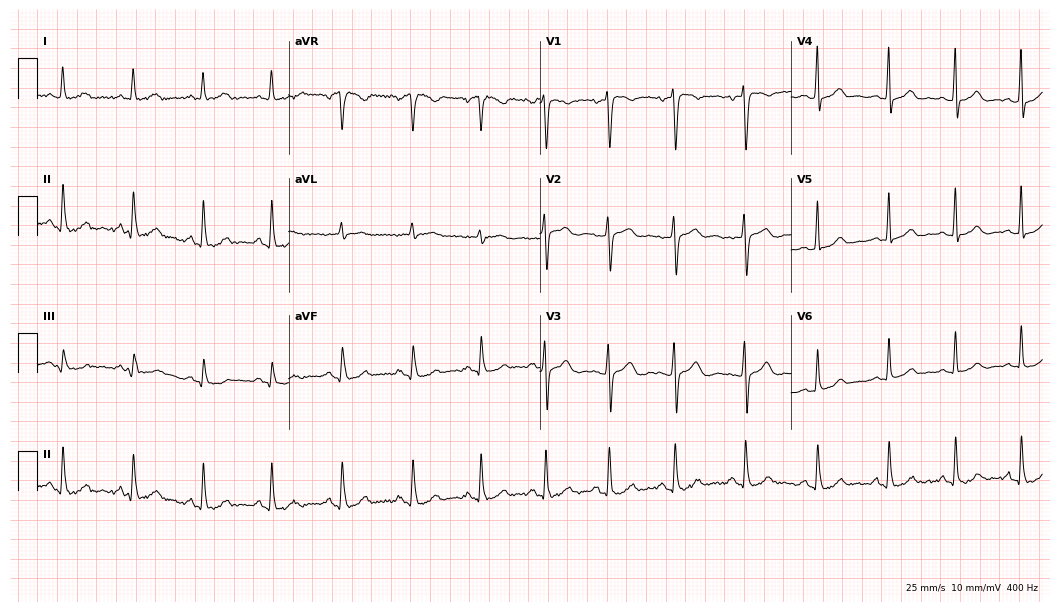
Resting 12-lead electrocardiogram (10.2-second recording at 400 Hz). Patient: an 18-year-old woman. None of these six findings is recorded: first-degree AV block, right bundle branch block (RBBB), left bundle branch block (LBBB), sinus bradycardia, atrial fibrillation (AF), sinus tachycardia.